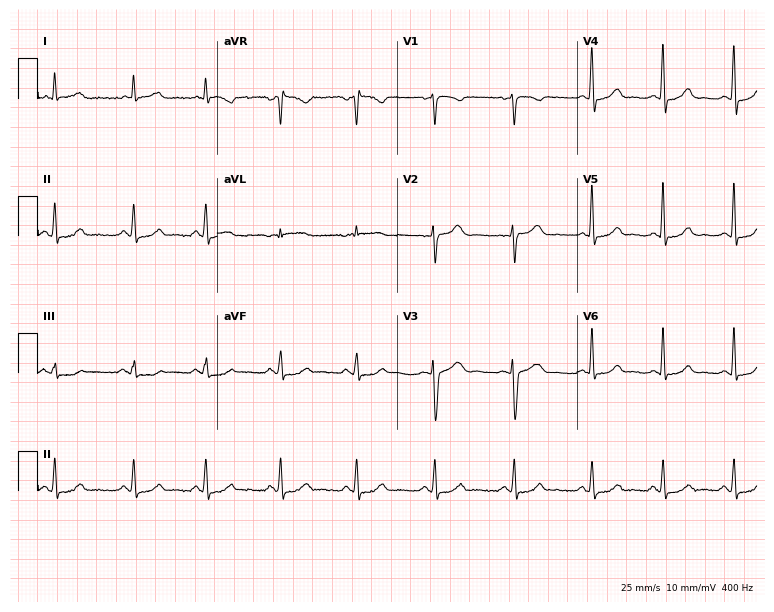
Standard 12-lead ECG recorded from a woman, 41 years old. Read as a normal ECG.